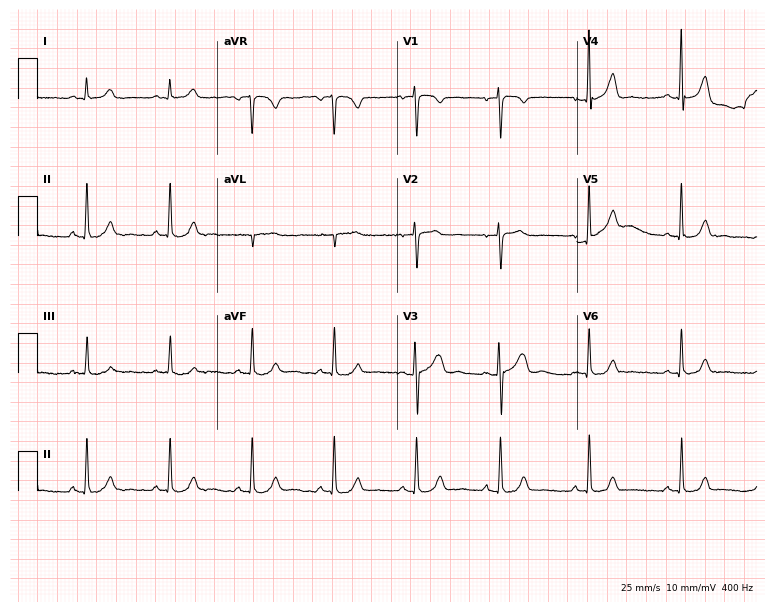
12-lead ECG from a 33-year-old female. Recorded interpretation: within normal limits.